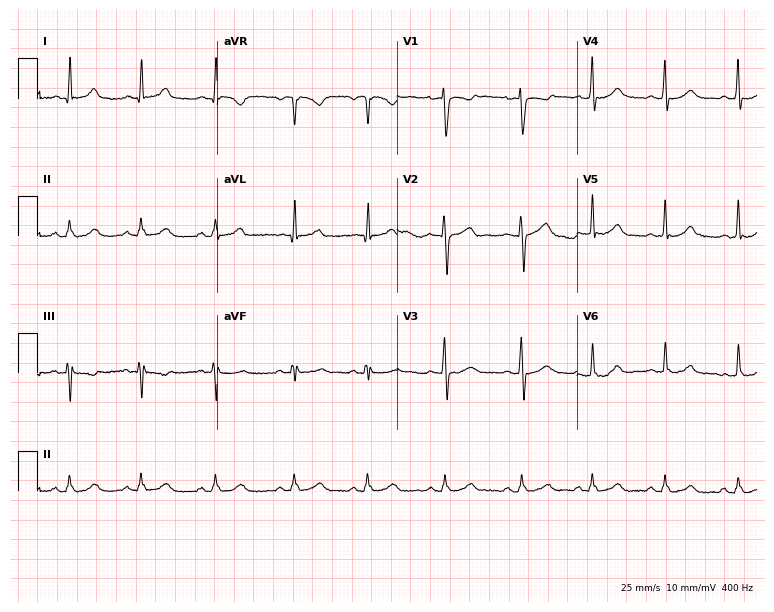
Electrocardiogram, a 29-year-old woman. Overall reading on record: normal ECG.